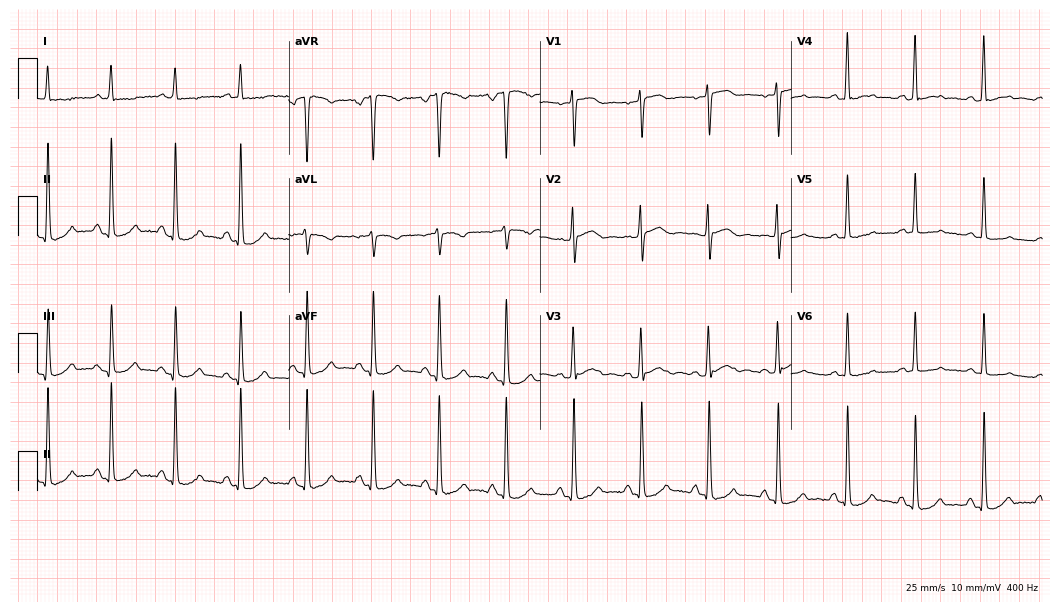
Resting 12-lead electrocardiogram. Patient: a female, 57 years old. None of these six findings is recorded: first-degree AV block, right bundle branch block, left bundle branch block, sinus bradycardia, atrial fibrillation, sinus tachycardia.